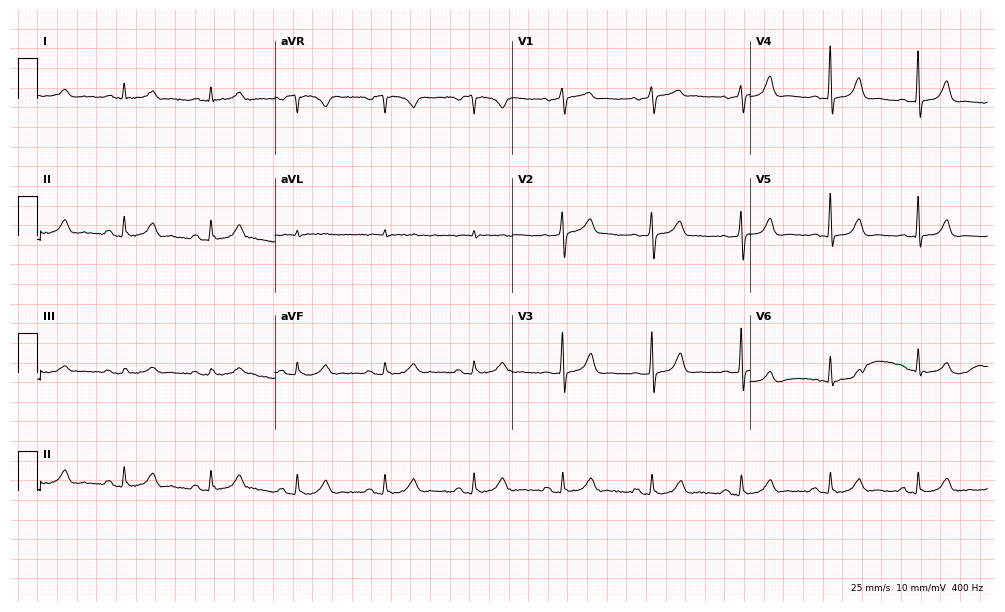
ECG — a male, 82 years old. Labelled as a normal ECG.